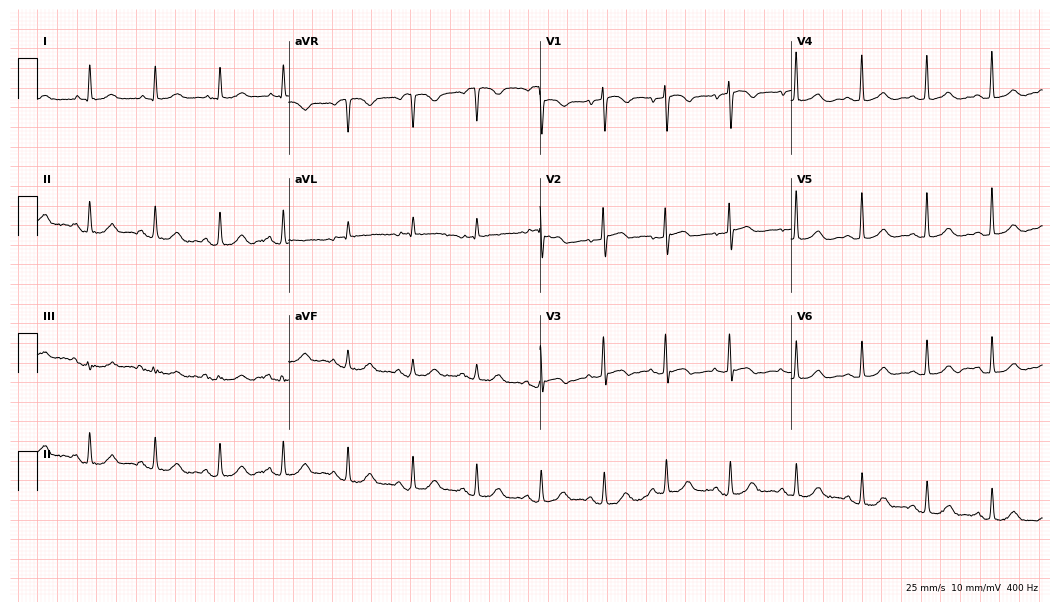
12-lead ECG from a female, 74 years old. Recorded interpretation: within normal limits.